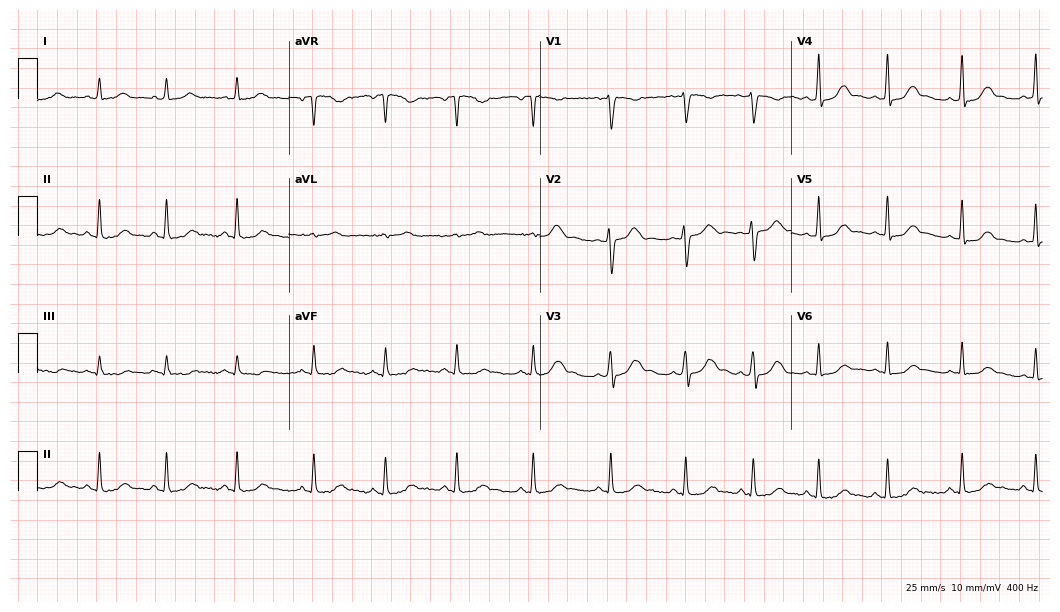
Electrocardiogram (10.2-second recording at 400 Hz), a 31-year-old female. Overall reading on record: normal ECG.